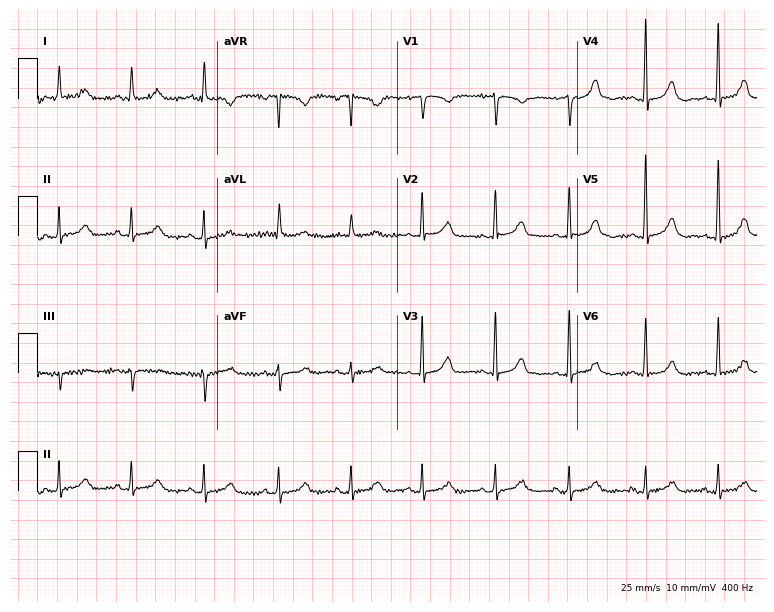
Electrocardiogram (7.3-second recording at 400 Hz), a female, 81 years old. Overall reading on record: normal ECG.